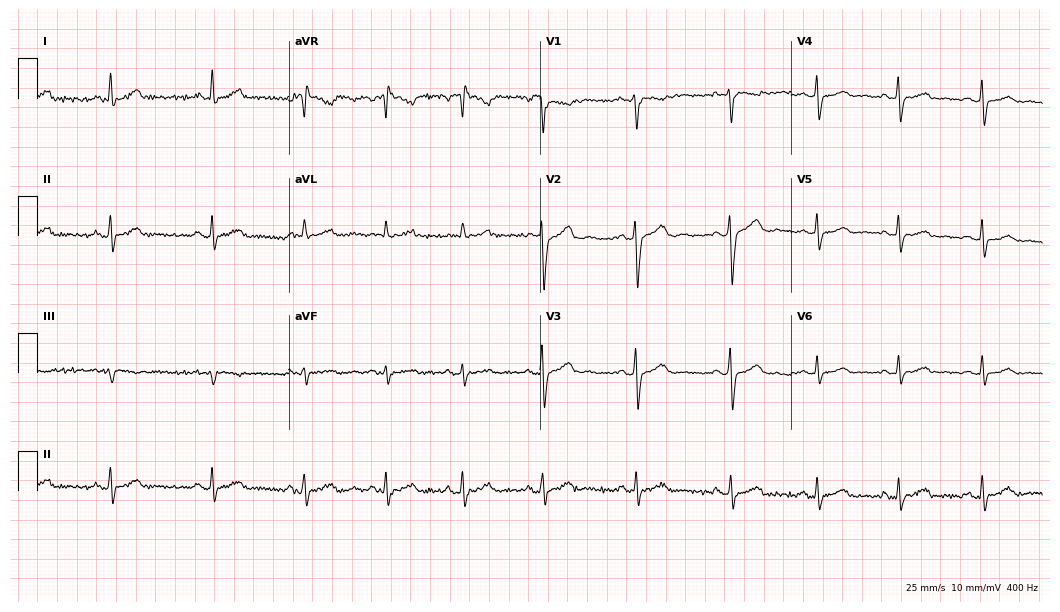
ECG — a female patient, 34 years old. Labelled as a normal ECG.